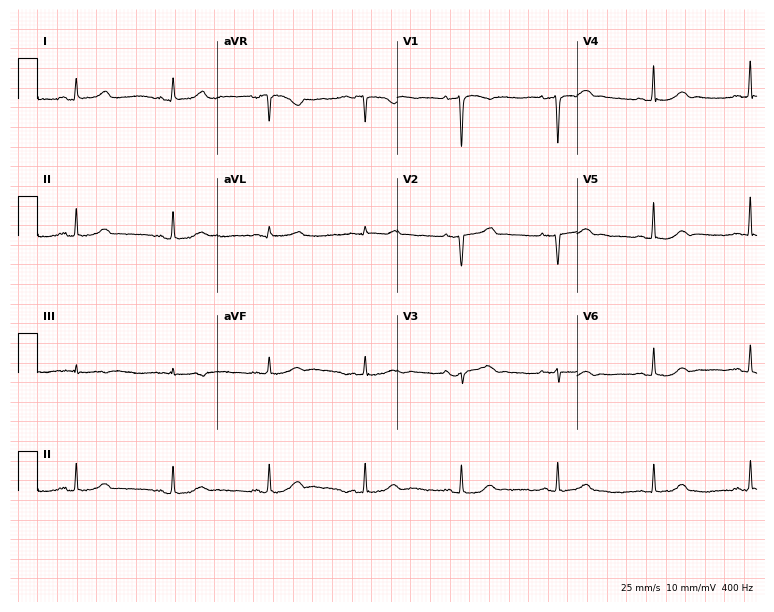
12-lead ECG (7.3-second recording at 400 Hz) from a 48-year-old woman. Screened for six findings — first-degree AV block, right bundle branch block, left bundle branch block, sinus bradycardia, atrial fibrillation, sinus tachycardia — none is recorded.